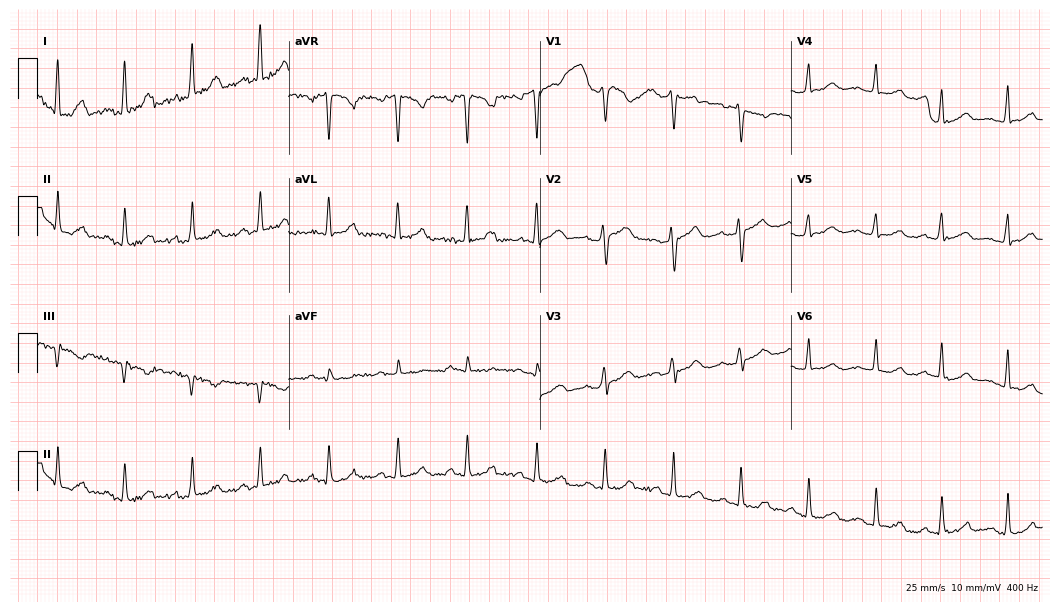
Standard 12-lead ECG recorded from a female patient, 28 years old. Read as a normal ECG.